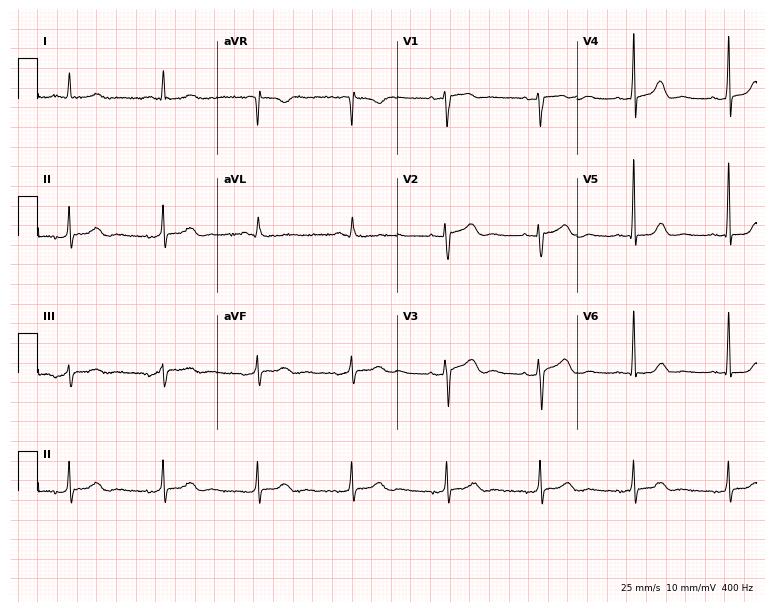
12-lead ECG (7.3-second recording at 400 Hz) from a 75-year-old woman. Screened for six findings — first-degree AV block, right bundle branch block (RBBB), left bundle branch block (LBBB), sinus bradycardia, atrial fibrillation (AF), sinus tachycardia — none is recorded. Findings outside these six are not listed.